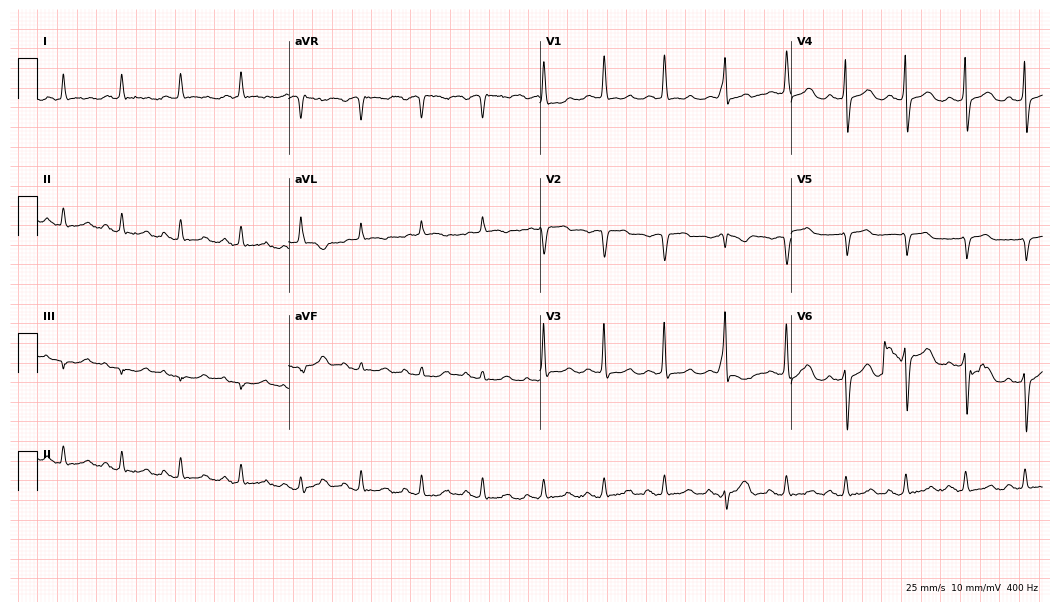
Standard 12-lead ECG recorded from a 73-year-old male patient (10.2-second recording at 400 Hz). None of these six findings is recorded: first-degree AV block, right bundle branch block, left bundle branch block, sinus bradycardia, atrial fibrillation, sinus tachycardia.